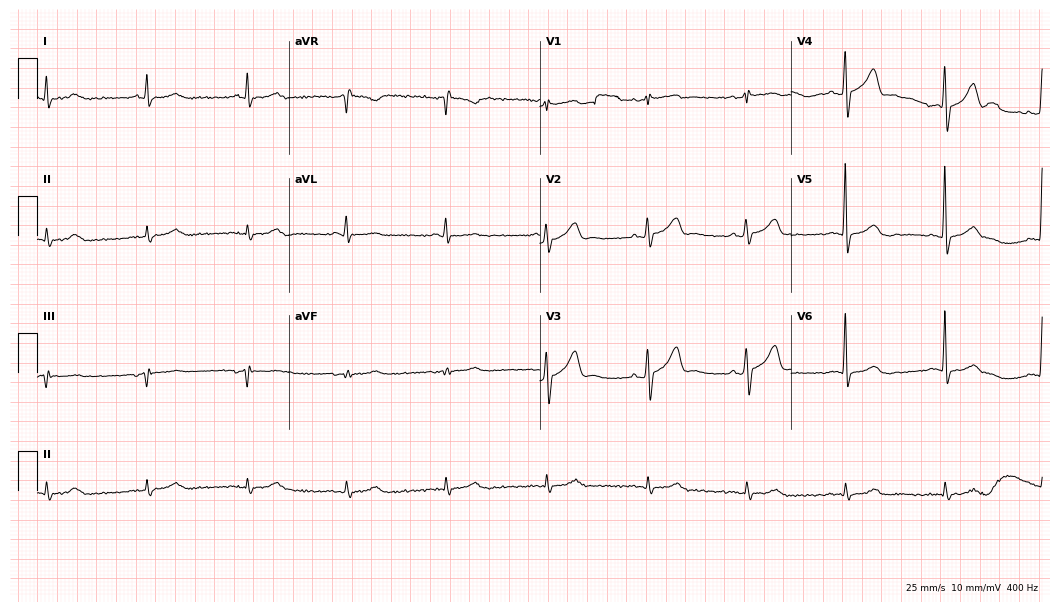
Standard 12-lead ECG recorded from a female, 82 years old. Read as a normal ECG.